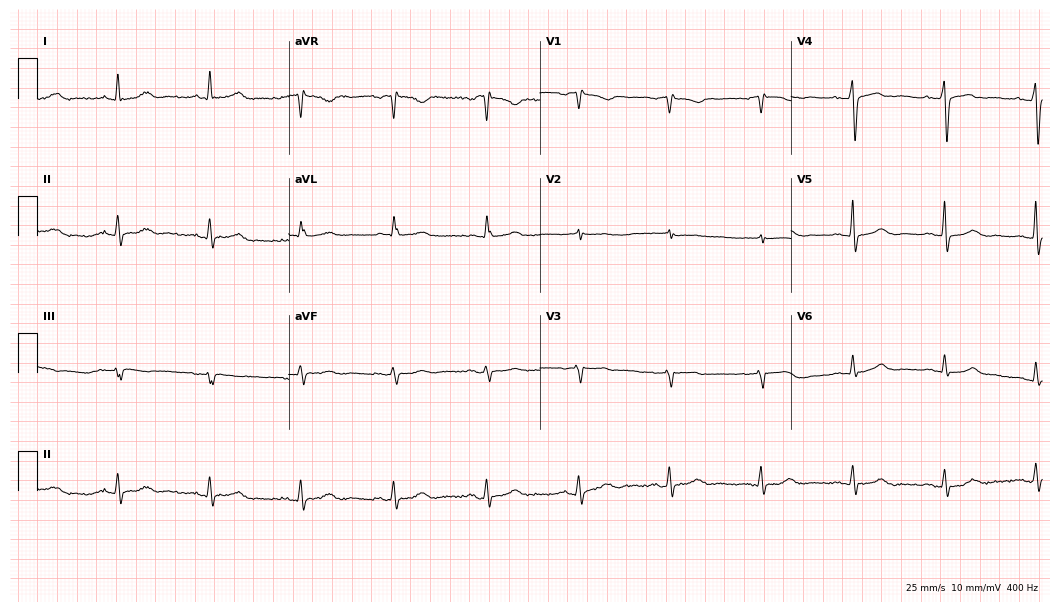
12-lead ECG (10.2-second recording at 400 Hz) from a female patient, 83 years old. Labelled as a normal ECG.